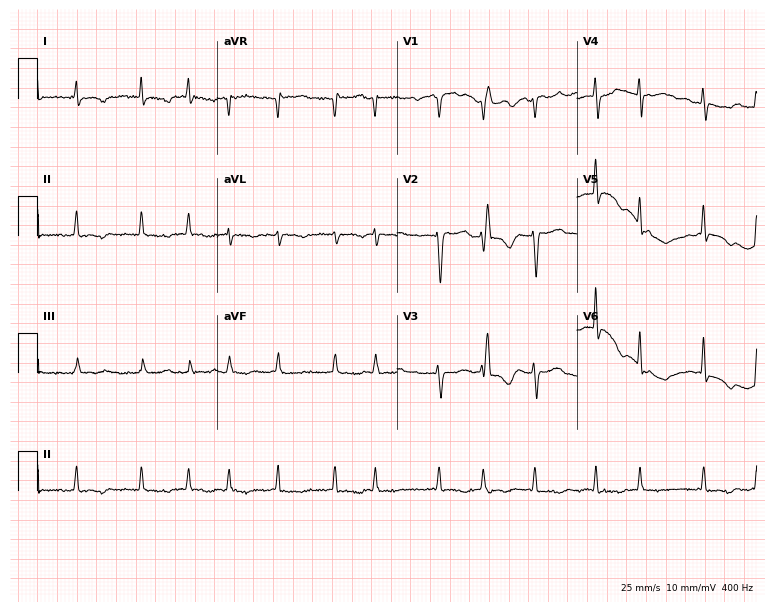
Standard 12-lead ECG recorded from a woman, 85 years old. The tracing shows atrial fibrillation.